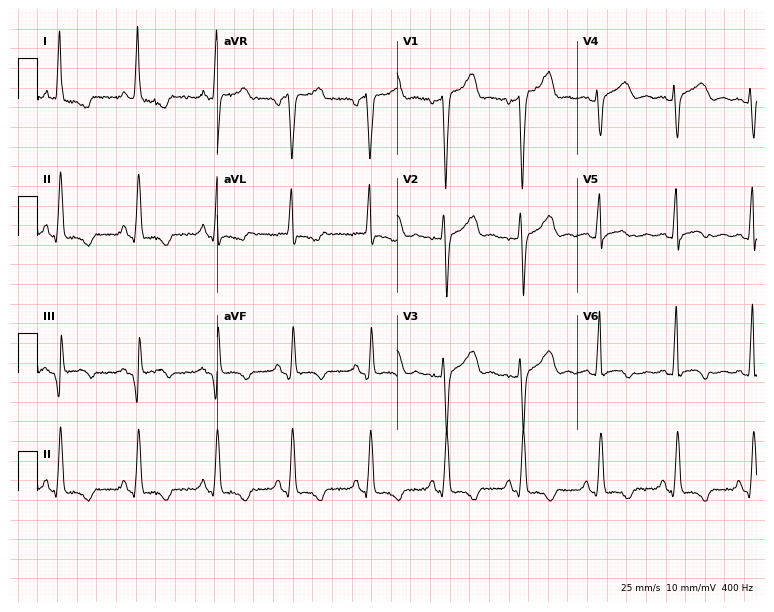
Electrocardiogram (7.3-second recording at 400 Hz), a 63-year-old female patient. Of the six screened findings (first-degree AV block, right bundle branch block (RBBB), left bundle branch block (LBBB), sinus bradycardia, atrial fibrillation (AF), sinus tachycardia), none is recorded.